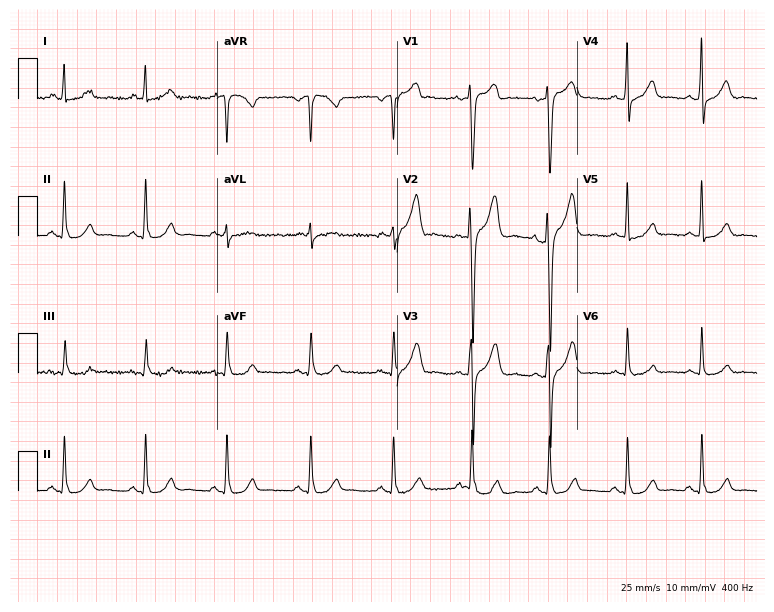
12-lead ECG from a 47-year-old male (7.3-second recording at 400 Hz). Recorded interpretation: within normal limits.